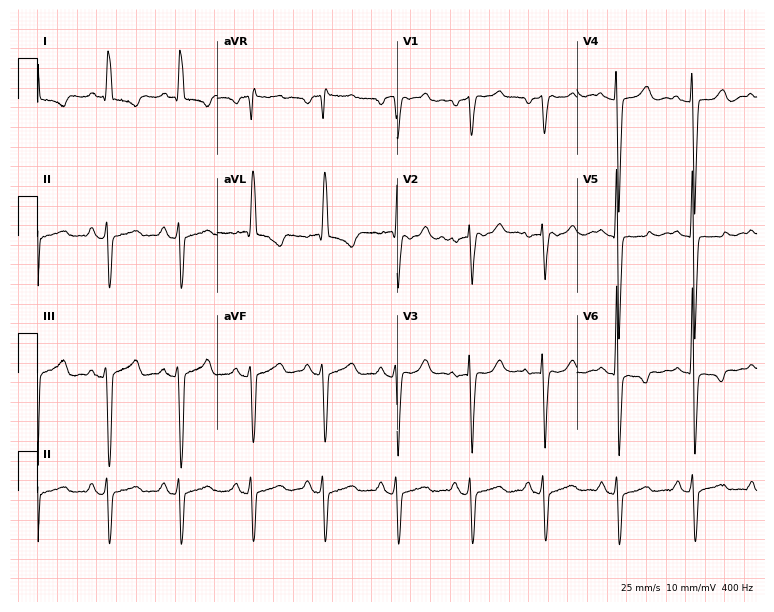
ECG — a female patient, 58 years old. Screened for six findings — first-degree AV block, right bundle branch block (RBBB), left bundle branch block (LBBB), sinus bradycardia, atrial fibrillation (AF), sinus tachycardia — none is recorded.